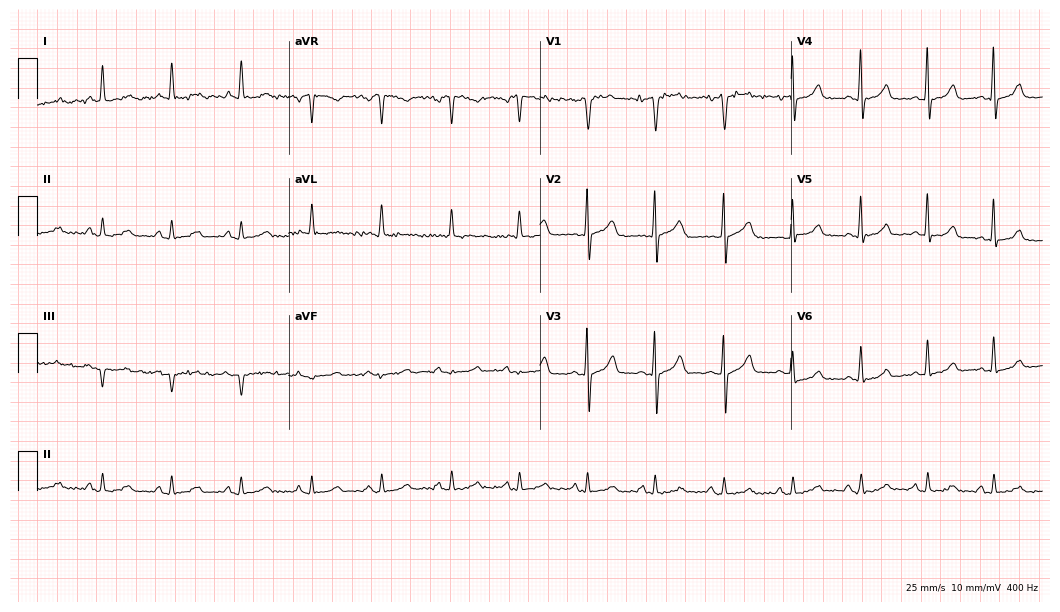
Standard 12-lead ECG recorded from a man, 63 years old. None of these six findings is recorded: first-degree AV block, right bundle branch block, left bundle branch block, sinus bradycardia, atrial fibrillation, sinus tachycardia.